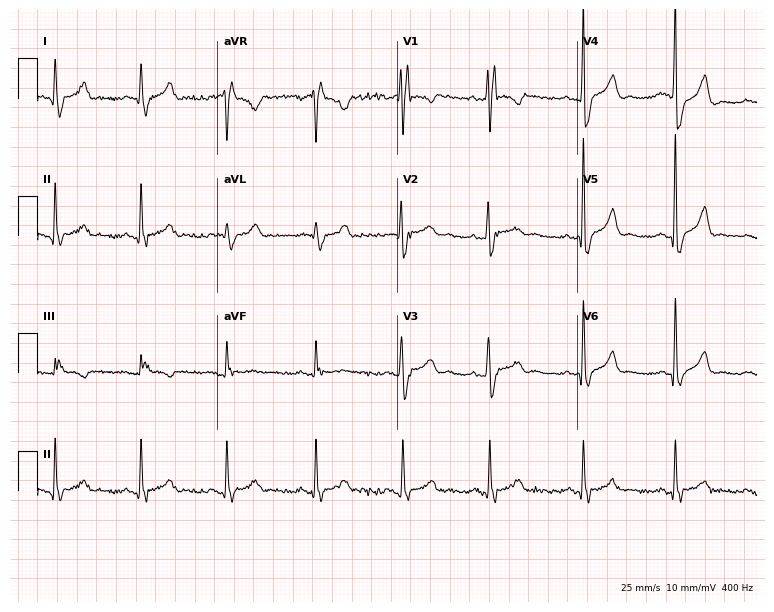
Resting 12-lead electrocardiogram. Patient: a man, 34 years old. None of these six findings is recorded: first-degree AV block, right bundle branch block (RBBB), left bundle branch block (LBBB), sinus bradycardia, atrial fibrillation (AF), sinus tachycardia.